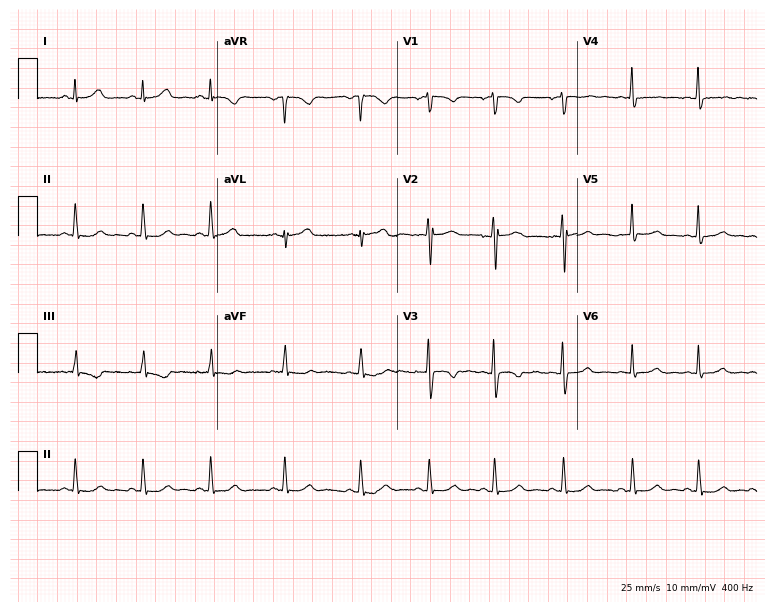
12-lead ECG from a 23-year-old woman. Labelled as a normal ECG.